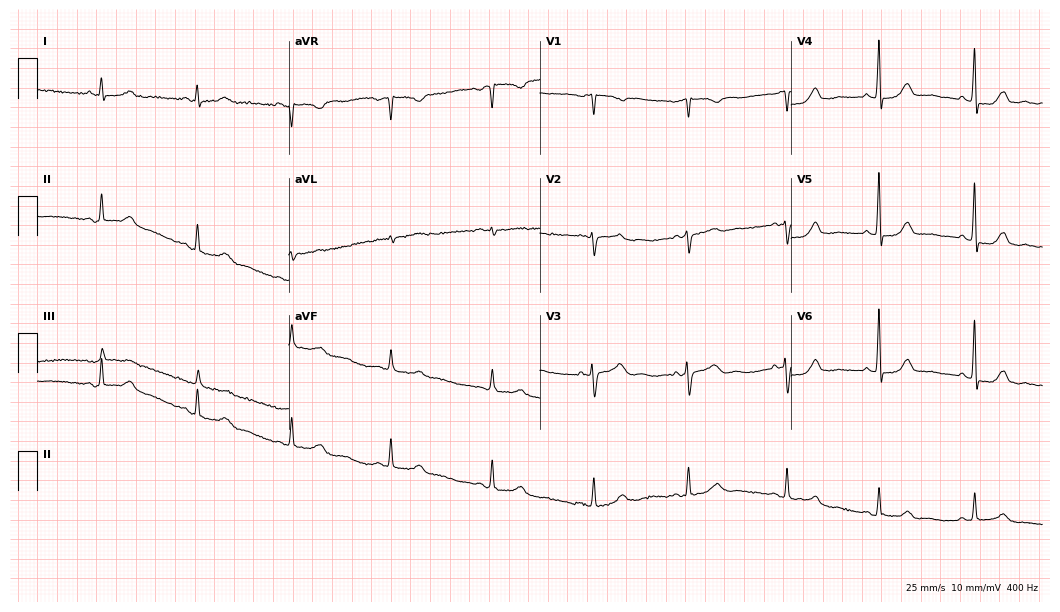
12-lead ECG (10.2-second recording at 400 Hz) from a woman, 61 years old. Screened for six findings — first-degree AV block, right bundle branch block (RBBB), left bundle branch block (LBBB), sinus bradycardia, atrial fibrillation (AF), sinus tachycardia — none is recorded.